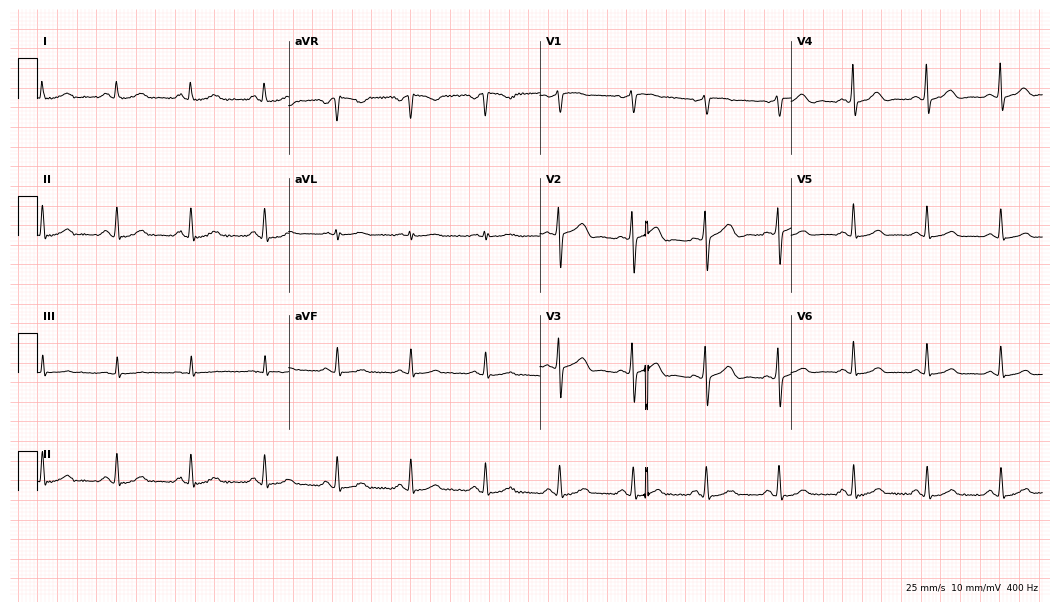
Resting 12-lead electrocardiogram (10.2-second recording at 400 Hz). Patient: a 62-year-old woman. None of these six findings is recorded: first-degree AV block, right bundle branch block, left bundle branch block, sinus bradycardia, atrial fibrillation, sinus tachycardia. Findings outside these six are not listed.